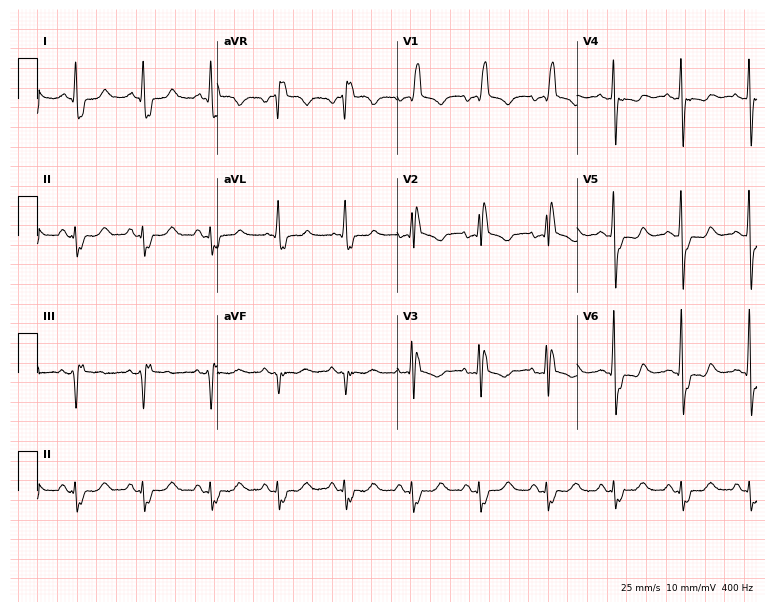
12-lead ECG from a female patient, 69 years old (7.3-second recording at 400 Hz). Shows right bundle branch block (RBBB).